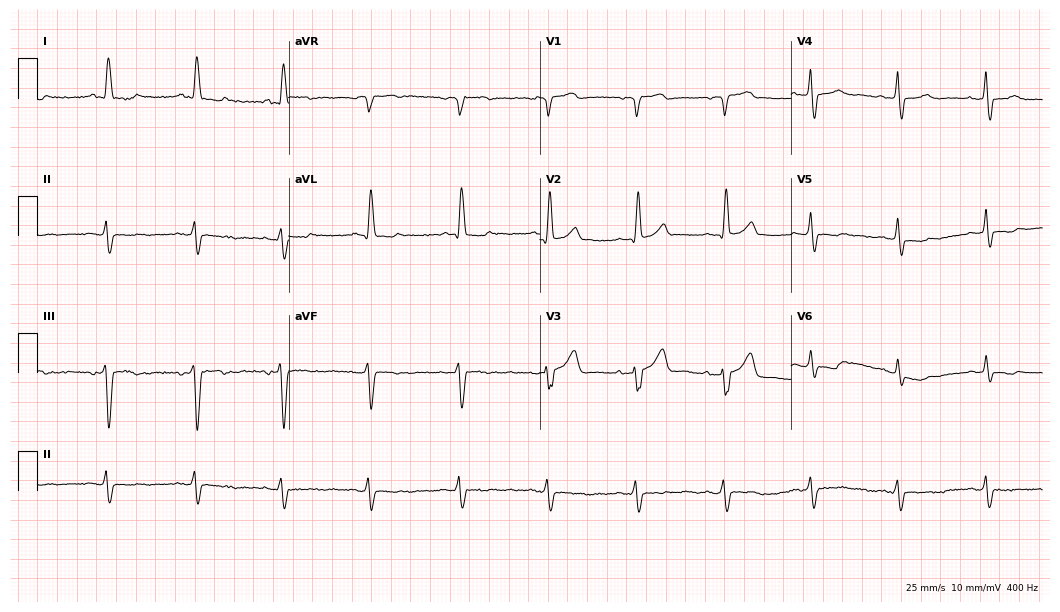
Standard 12-lead ECG recorded from a male patient, 82 years old. None of these six findings is recorded: first-degree AV block, right bundle branch block (RBBB), left bundle branch block (LBBB), sinus bradycardia, atrial fibrillation (AF), sinus tachycardia. Findings outside these six are not listed.